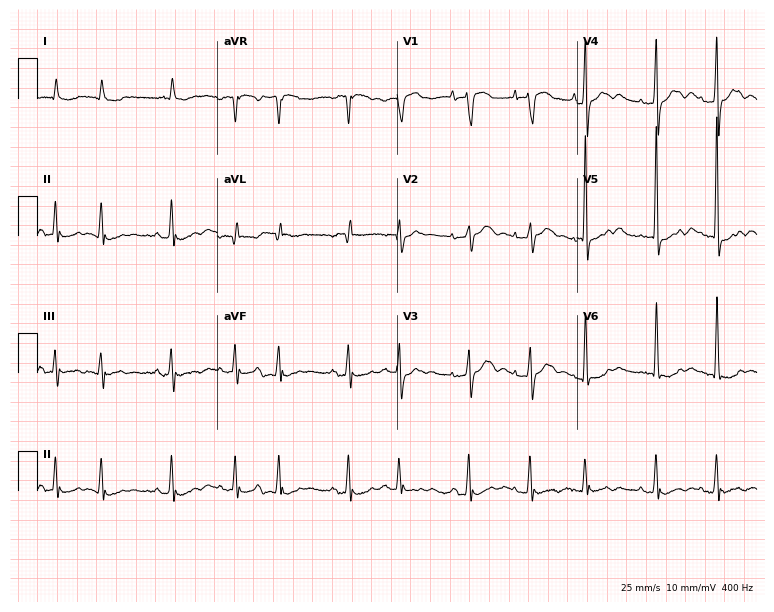
12-lead ECG (7.3-second recording at 400 Hz) from a 78-year-old woman. Labelled as a normal ECG.